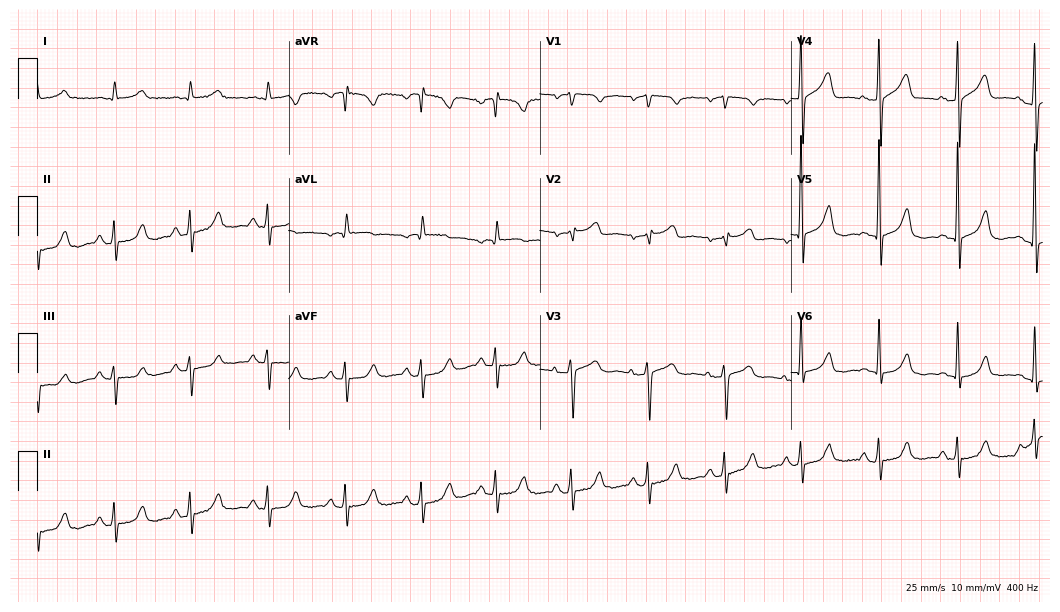
Standard 12-lead ECG recorded from a female, 74 years old. None of these six findings is recorded: first-degree AV block, right bundle branch block, left bundle branch block, sinus bradycardia, atrial fibrillation, sinus tachycardia.